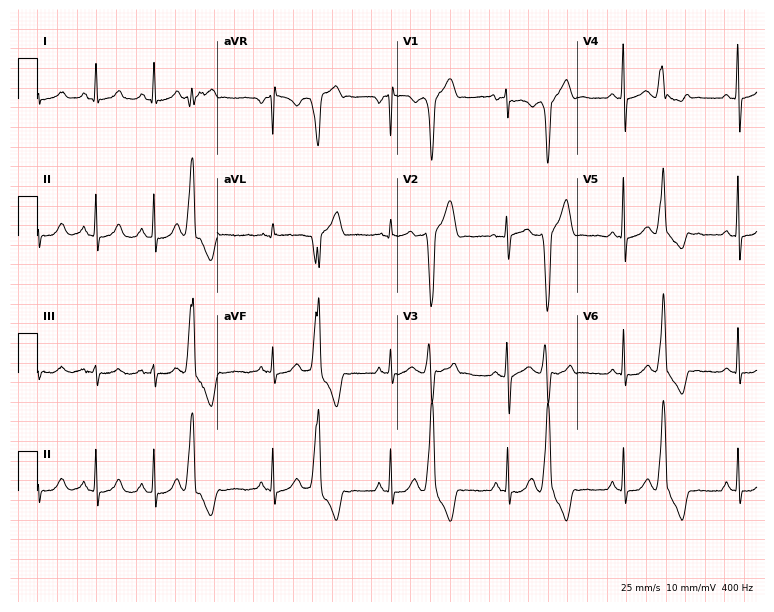
Standard 12-lead ECG recorded from a female, 20 years old. None of these six findings is recorded: first-degree AV block, right bundle branch block, left bundle branch block, sinus bradycardia, atrial fibrillation, sinus tachycardia.